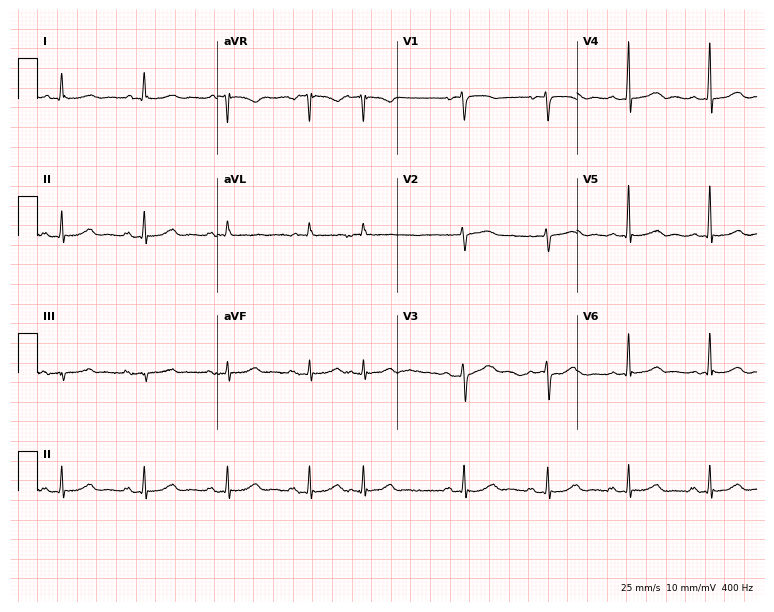
Resting 12-lead electrocardiogram. Patient: a female, 75 years old. None of these six findings is recorded: first-degree AV block, right bundle branch block, left bundle branch block, sinus bradycardia, atrial fibrillation, sinus tachycardia. Only these six findings were labelled.